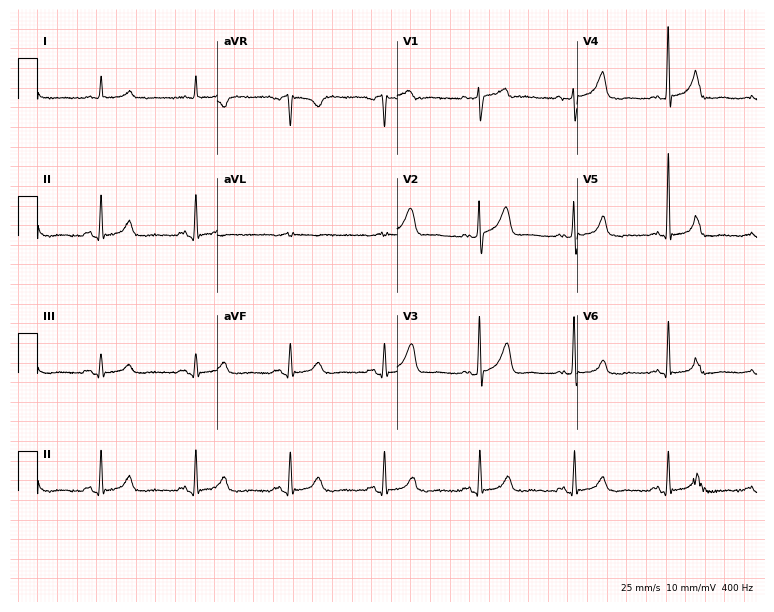
Electrocardiogram (7.3-second recording at 400 Hz), a 70-year-old male patient. Of the six screened findings (first-degree AV block, right bundle branch block (RBBB), left bundle branch block (LBBB), sinus bradycardia, atrial fibrillation (AF), sinus tachycardia), none is recorded.